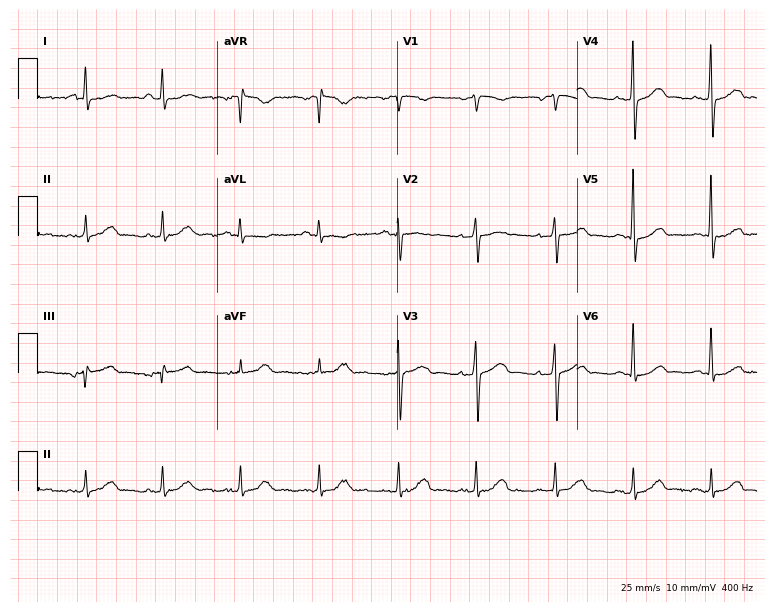
12-lead ECG from a male patient, 84 years old. Screened for six findings — first-degree AV block, right bundle branch block, left bundle branch block, sinus bradycardia, atrial fibrillation, sinus tachycardia — none is recorded. Findings outside these six are not listed.